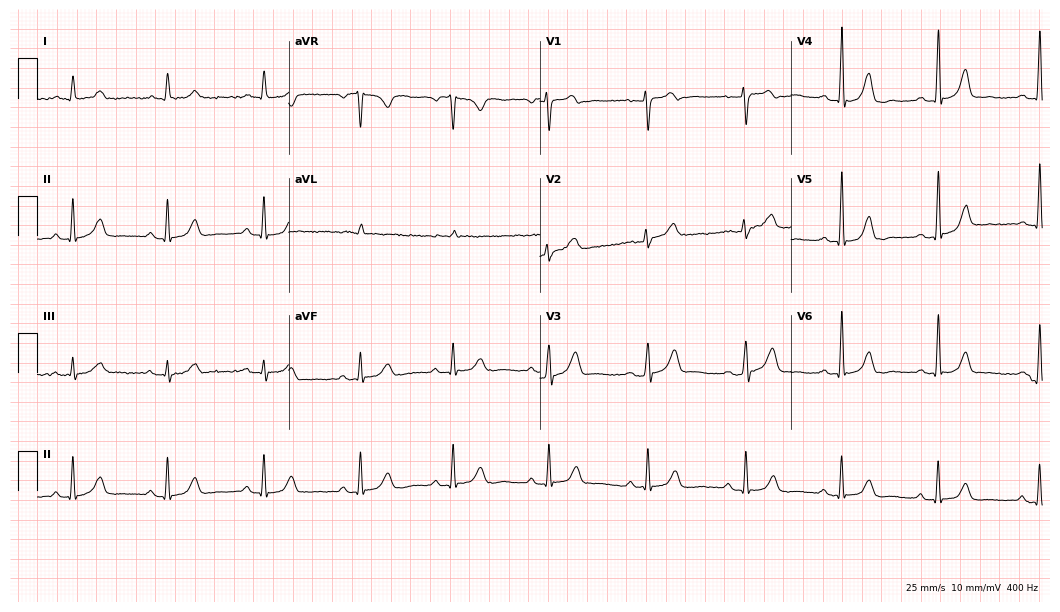
Electrocardiogram (10.2-second recording at 400 Hz), a female patient, 65 years old. Of the six screened findings (first-degree AV block, right bundle branch block, left bundle branch block, sinus bradycardia, atrial fibrillation, sinus tachycardia), none is recorded.